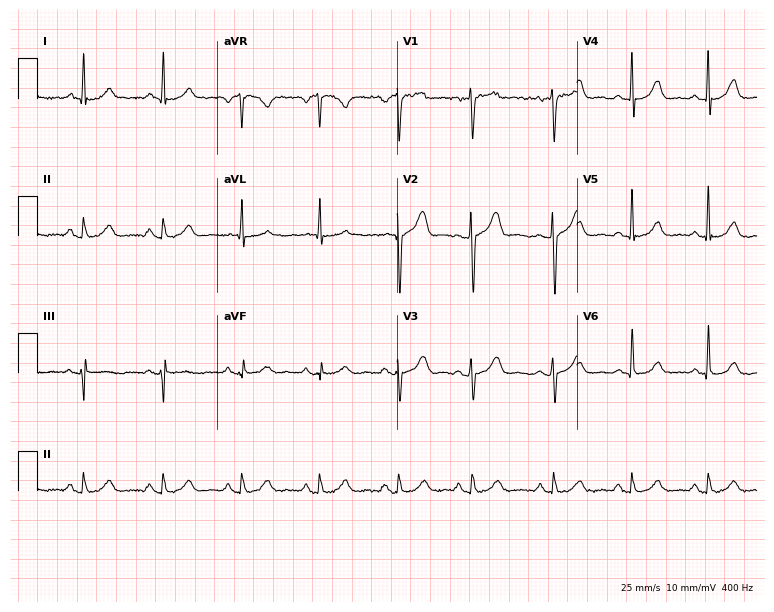
Resting 12-lead electrocardiogram (7.3-second recording at 400 Hz). Patient: a 53-year-old male. Read as a normal ECG.